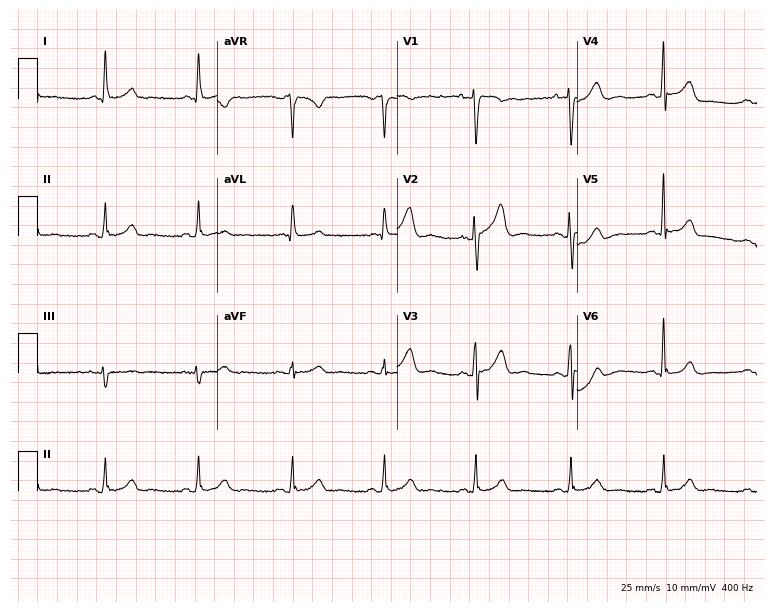
12-lead ECG from a 49-year-old female. No first-degree AV block, right bundle branch block, left bundle branch block, sinus bradycardia, atrial fibrillation or sinus tachycardia recorded for this tracing. Other findings, if any, are not listed.